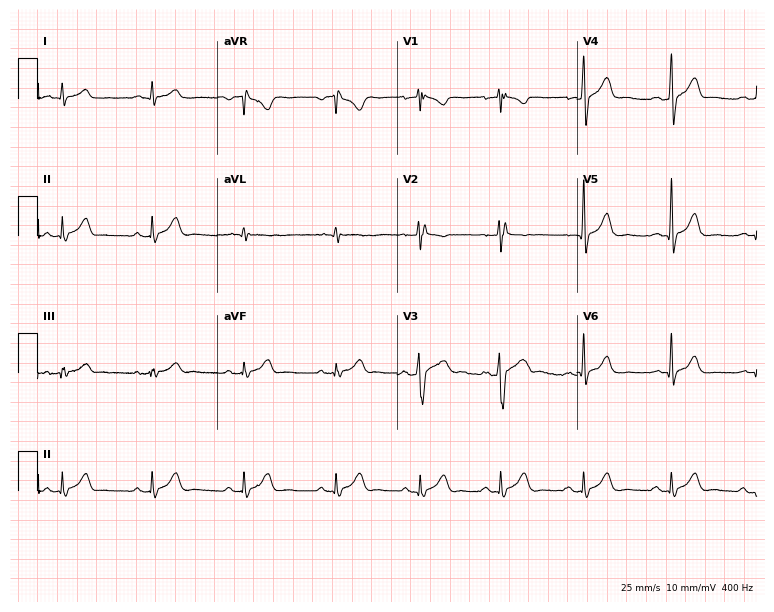
Resting 12-lead electrocardiogram (7.3-second recording at 400 Hz). Patient: a 31-year-old male. Read as a normal ECG.